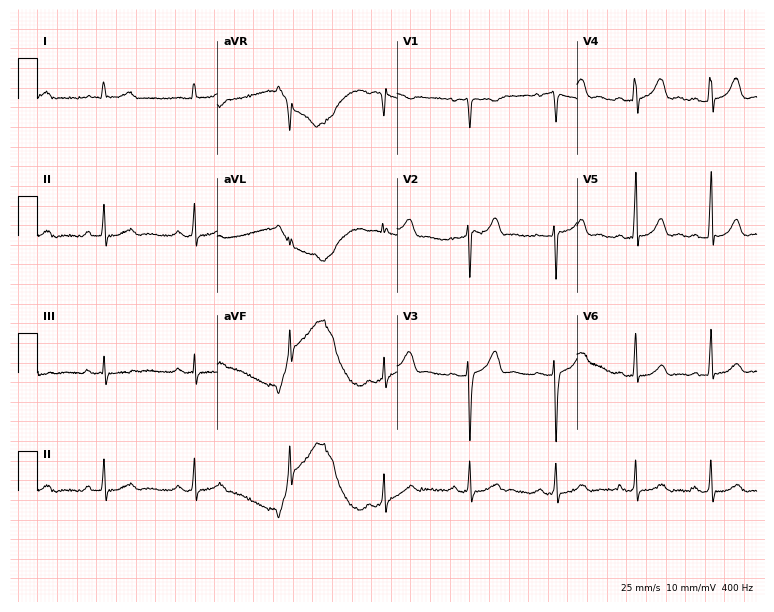
Electrocardiogram, a 31-year-old female patient. Overall reading on record: normal ECG.